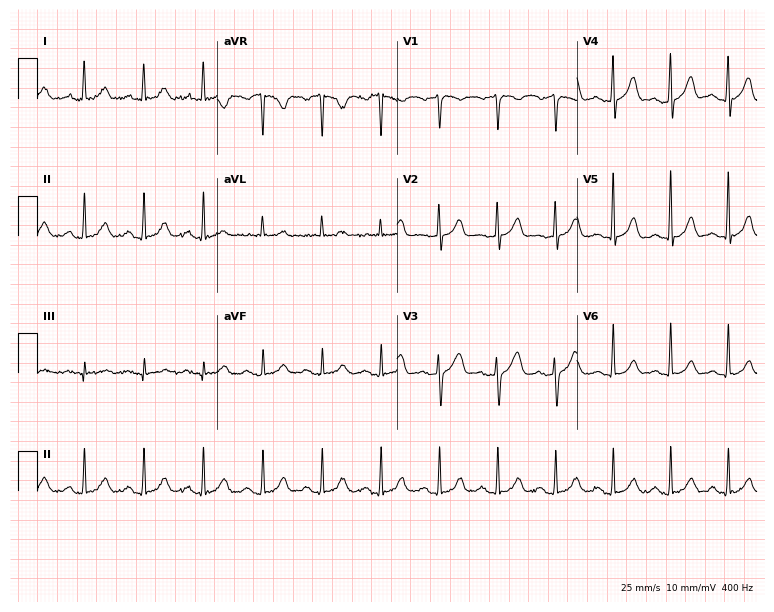
Electrocardiogram, a man, 60 years old. Interpretation includes sinus tachycardia (a sinus rate of 100 beats per minute or more).